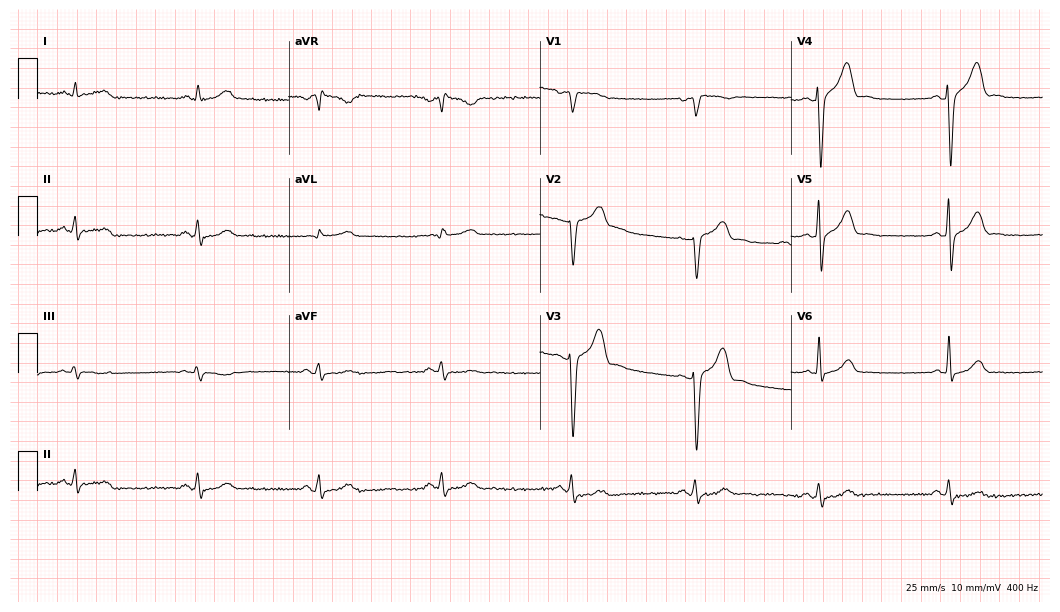
Electrocardiogram (10.2-second recording at 400 Hz), a 66-year-old male patient. Interpretation includes sinus bradycardia (a sinus rate of 50 beats per minute or less).